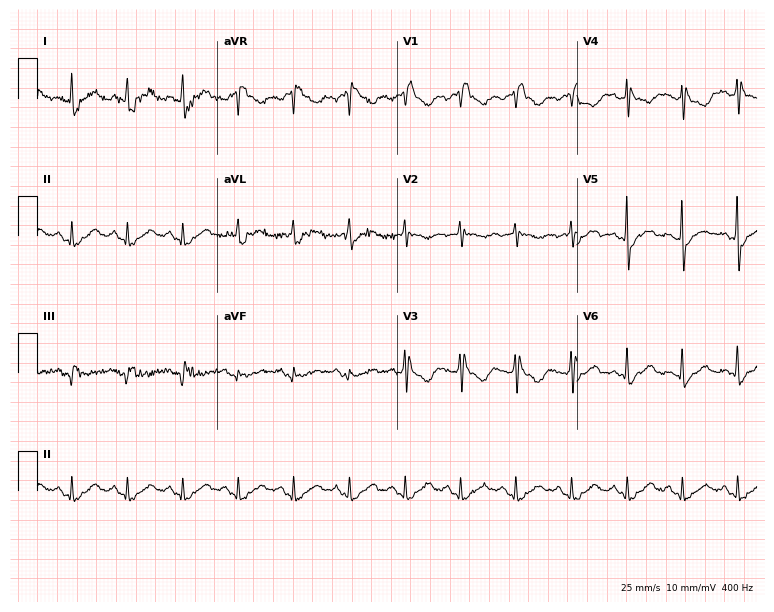
ECG — a 59-year-old female. Findings include right bundle branch block.